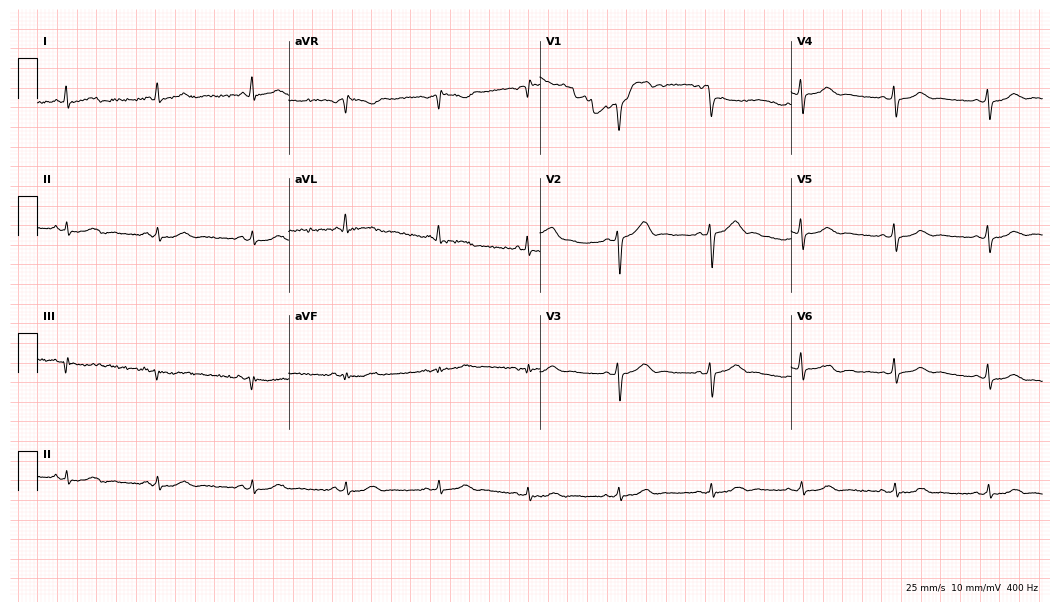
12-lead ECG from a female, 38 years old. Labelled as a normal ECG.